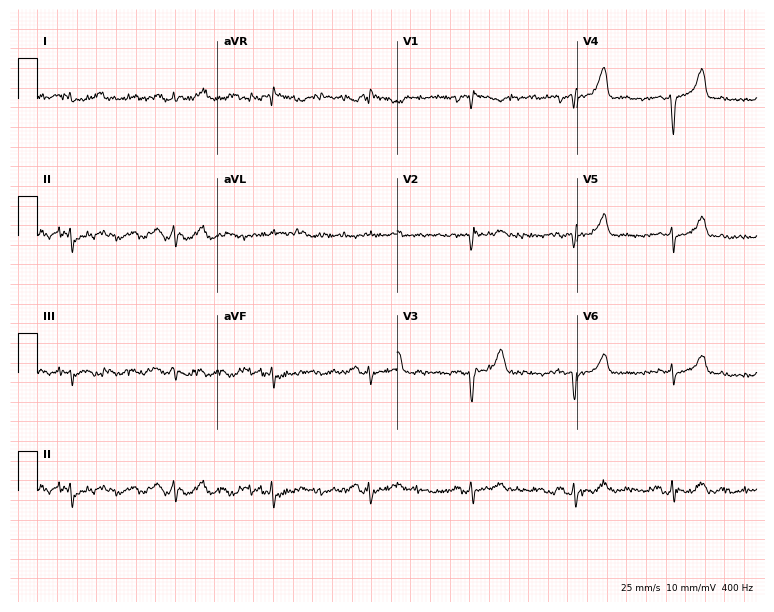
Standard 12-lead ECG recorded from a 67-year-old woman (7.3-second recording at 400 Hz). None of these six findings is recorded: first-degree AV block, right bundle branch block (RBBB), left bundle branch block (LBBB), sinus bradycardia, atrial fibrillation (AF), sinus tachycardia.